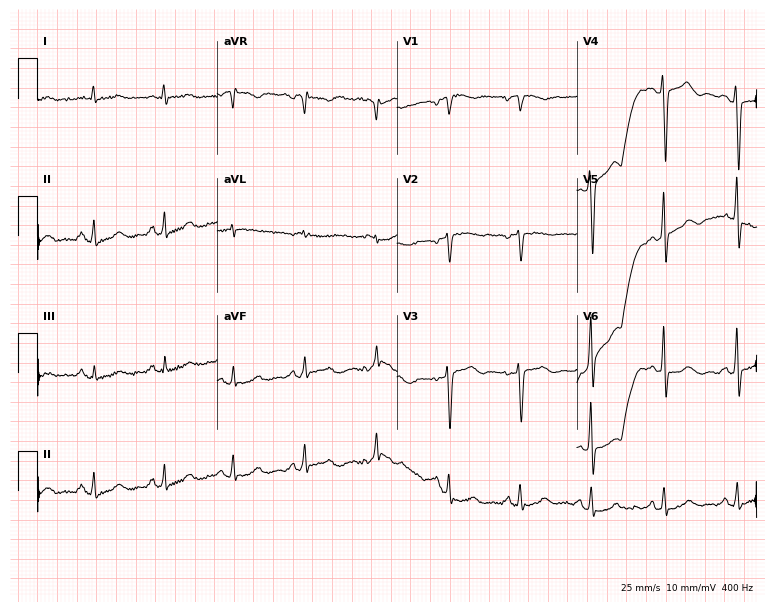
12-lead ECG from a female, 57 years old (7.3-second recording at 400 Hz). No first-degree AV block, right bundle branch block, left bundle branch block, sinus bradycardia, atrial fibrillation or sinus tachycardia recorded for this tracing. Other findings, if any, are not listed.